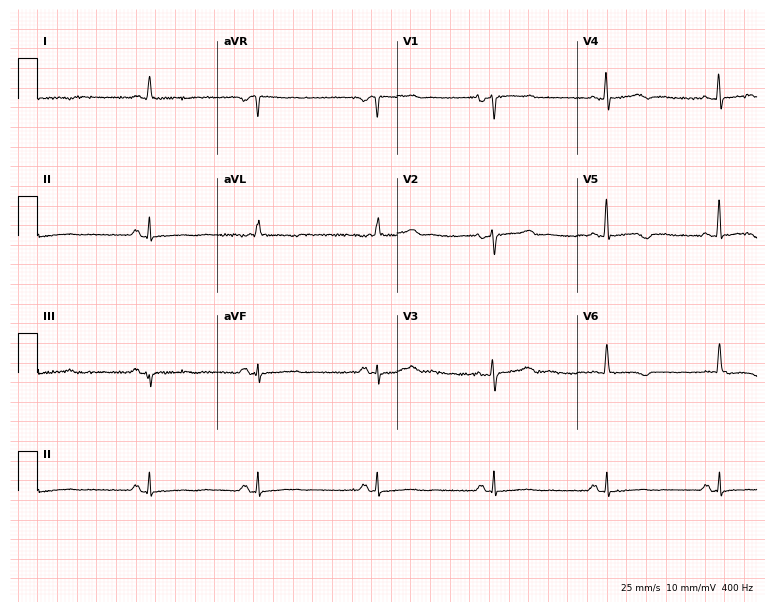
Resting 12-lead electrocardiogram. Patient: a woman, 49 years old. None of these six findings is recorded: first-degree AV block, right bundle branch block, left bundle branch block, sinus bradycardia, atrial fibrillation, sinus tachycardia.